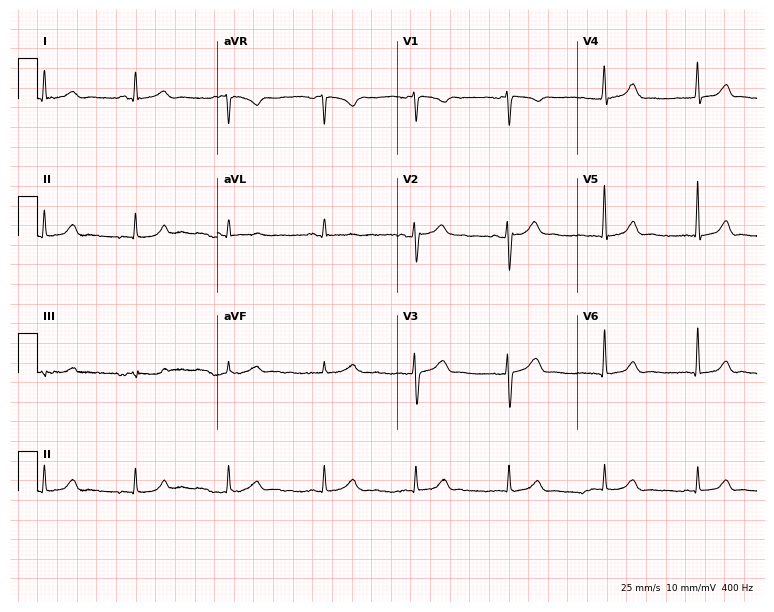
Resting 12-lead electrocardiogram. Patient: a female, 27 years old. Read as a normal ECG.